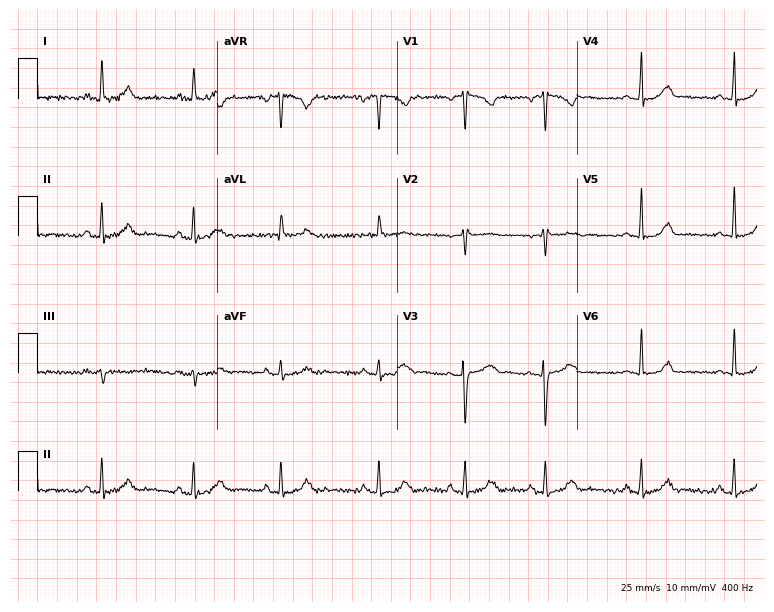
Electrocardiogram (7.3-second recording at 400 Hz), a woman, 23 years old. Overall reading on record: normal ECG.